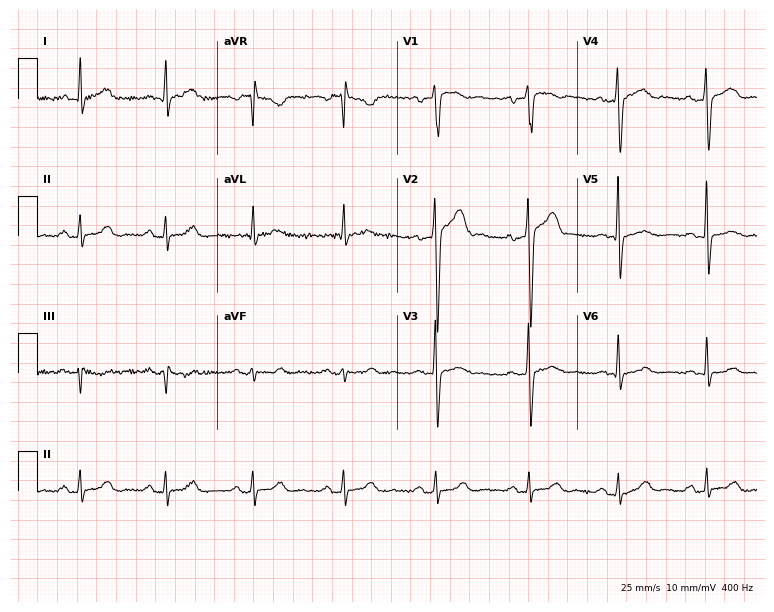
Standard 12-lead ECG recorded from a man, 48 years old. Read as a normal ECG.